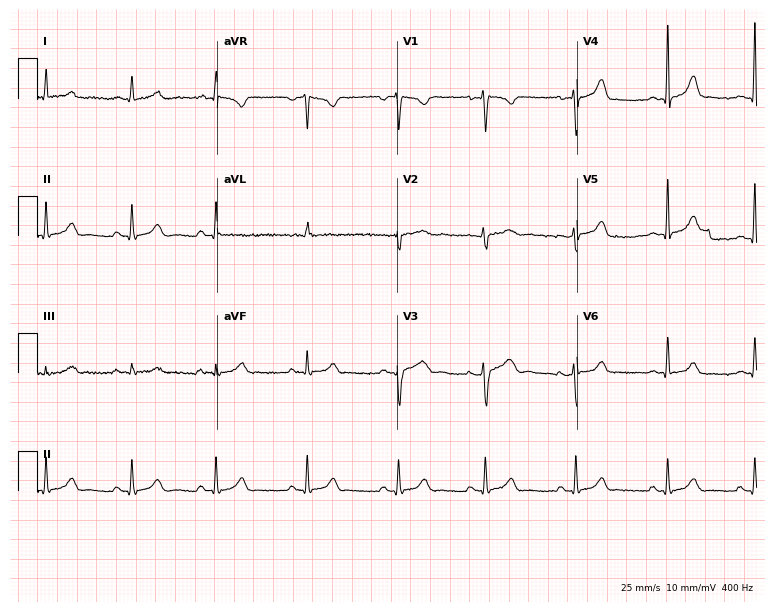
Electrocardiogram, a female, 24 years old. Of the six screened findings (first-degree AV block, right bundle branch block, left bundle branch block, sinus bradycardia, atrial fibrillation, sinus tachycardia), none is recorded.